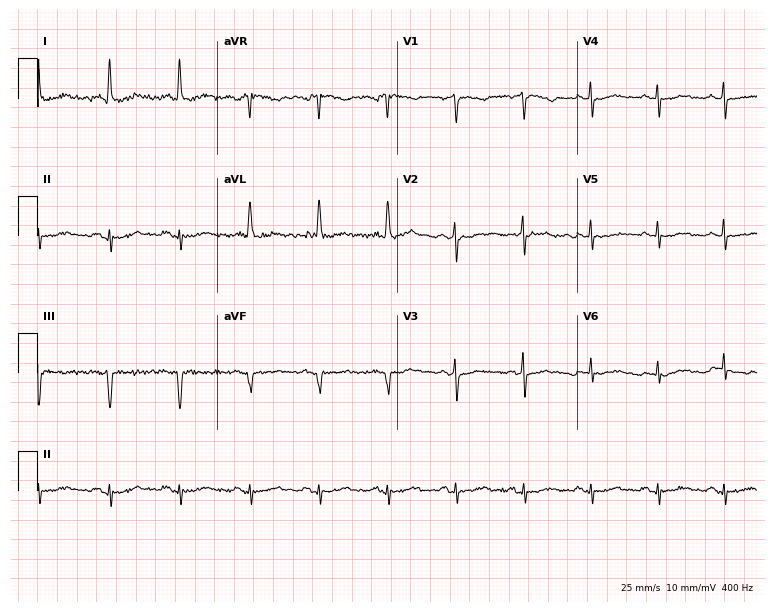
Standard 12-lead ECG recorded from a 58-year-old female (7.3-second recording at 400 Hz). None of these six findings is recorded: first-degree AV block, right bundle branch block (RBBB), left bundle branch block (LBBB), sinus bradycardia, atrial fibrillation (AF), sinus tachycardia. Only these six findings were labelled.